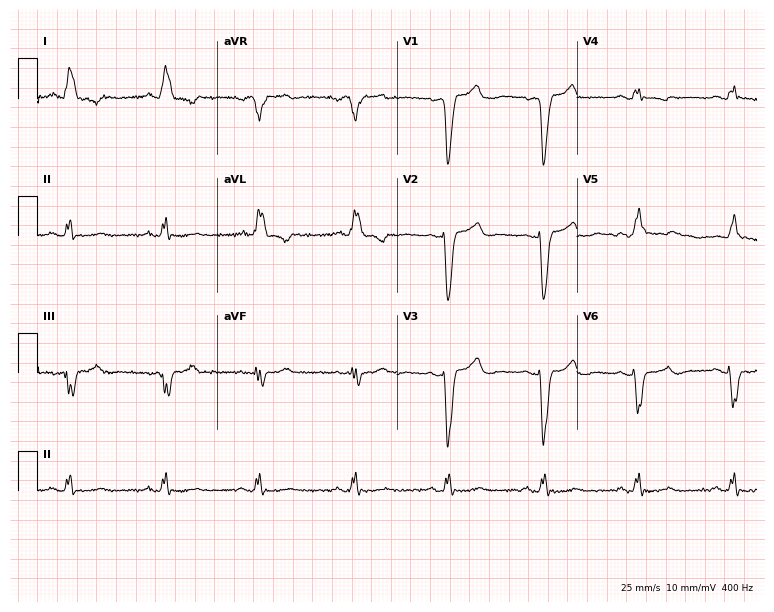
Standard 12-lead ECG recorded from a woman, 83 years old. The tracing shows left bundle branch block (LBBB).